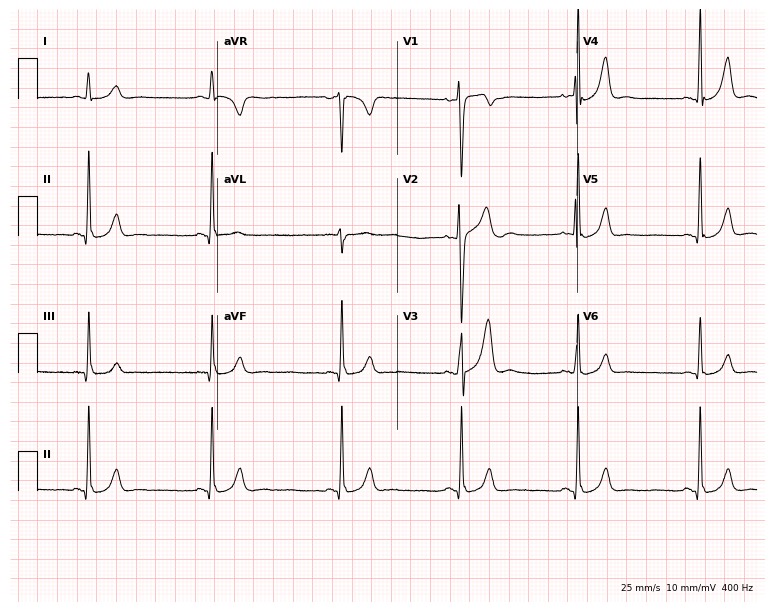
12-lead ECG (7.3-second recording at 400 Hz) from a 24-year-old man. Findings include sinus bradycardia (a sinus rate of 50 beats per minute or less).